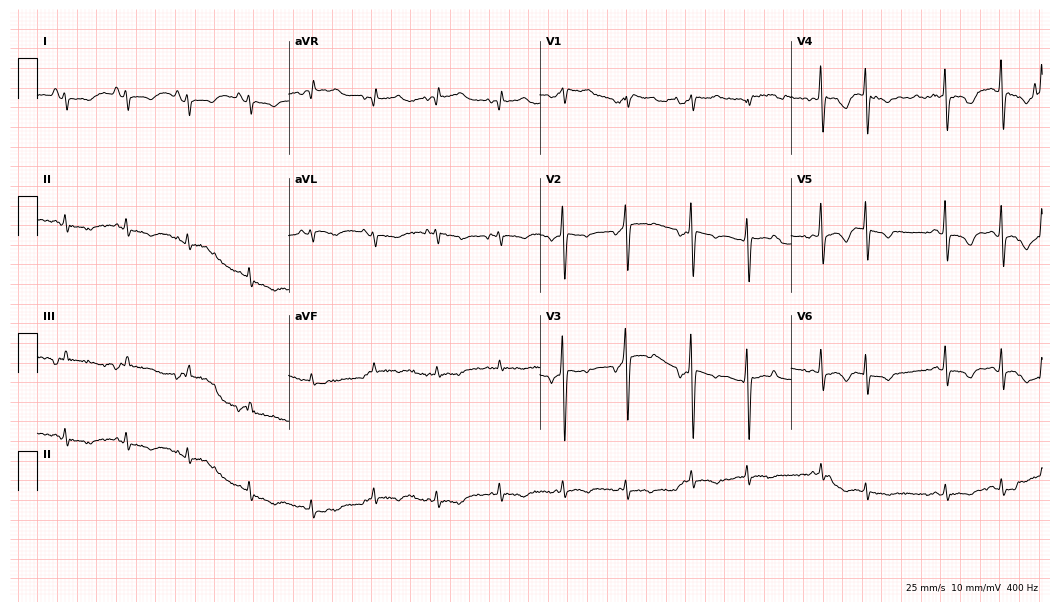
ECG (10.2-second recording at 400 Hz) — a 78-year-old male patient. Screened for six findings — first-degree AV block, right bundle branch block, left bundle branch block, sinus bradycardia, atrial fibrillation, sinus tachycardia — none is recorded.